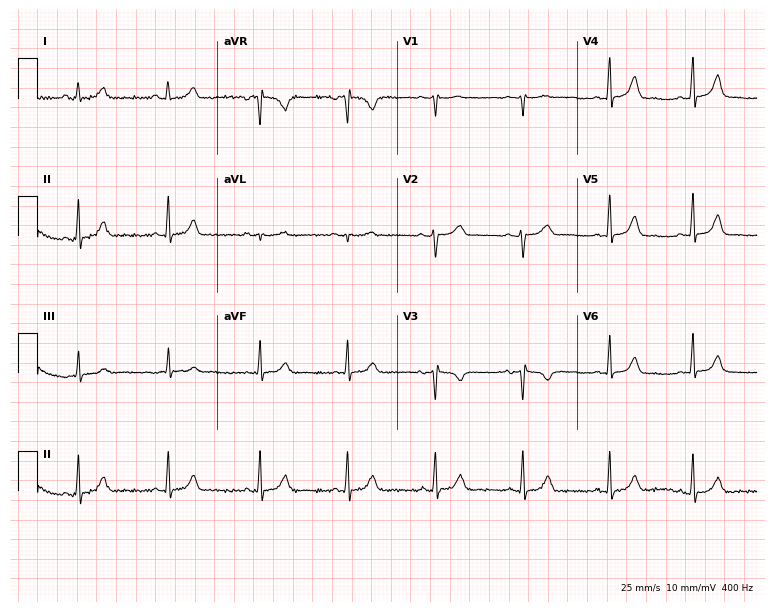
Resting 12-lead electrocardiogram. Patient: a 22-year-old female. None of these six findings is recorded: first-degree AV block, right bundle branch block, left bundle branch block, sinus bradycardia, atrial fibrillation, sinus tachycardia. Only these six findings were labelled.